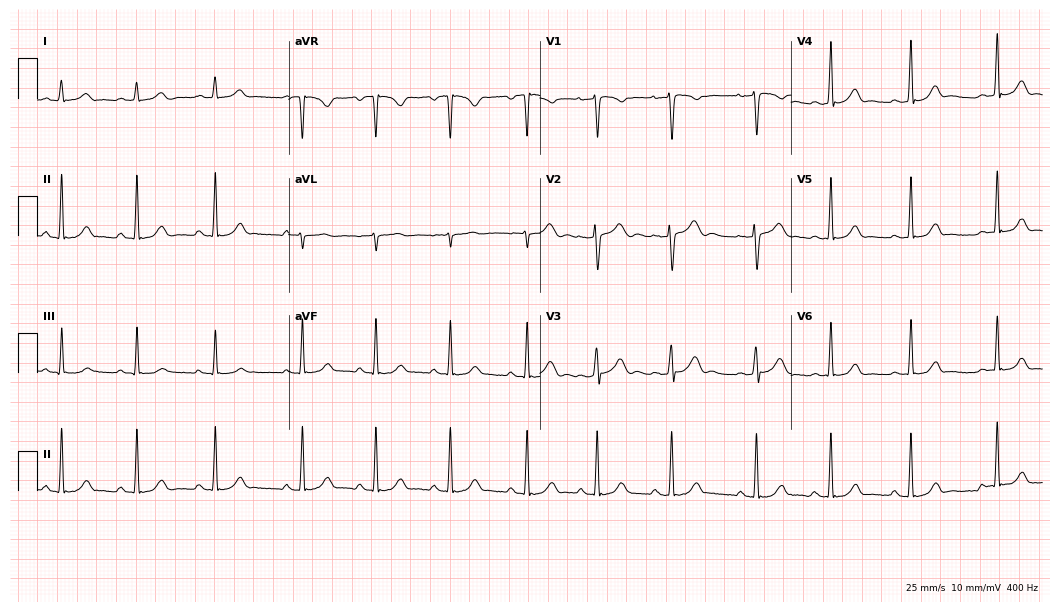
ECG (10.2-second recording at 400 Hz) — a woman, 18 years old. Labelled as a normal ECG.